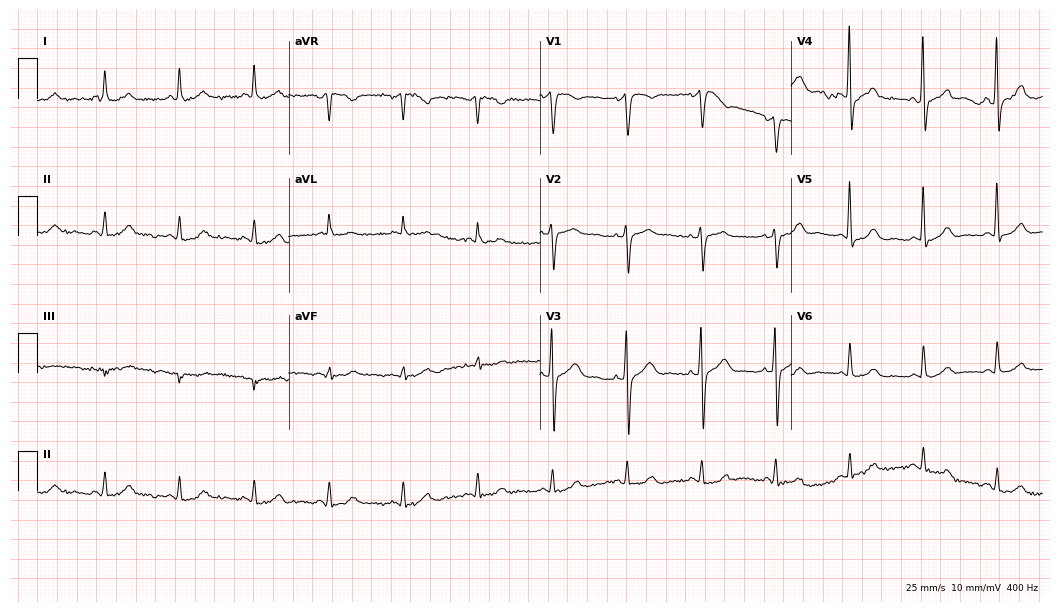
12-lead ECG (10.2-second recording at 400 Hz) from an 81-year-old male. Screened for six findings — first-degree AV block, right bundle branch block, left bundle branch block, sinus bradycardia, atrial fibrillation, sinus tachycardia — none is recorded.